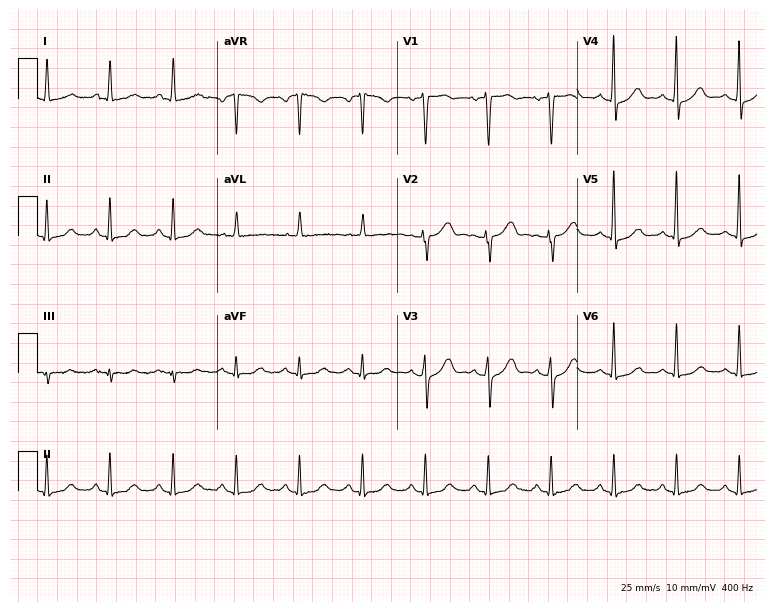
ECG (7.3-second recording at 400 Hz) — a female, 78 years old. Labelled as a normal ECG.